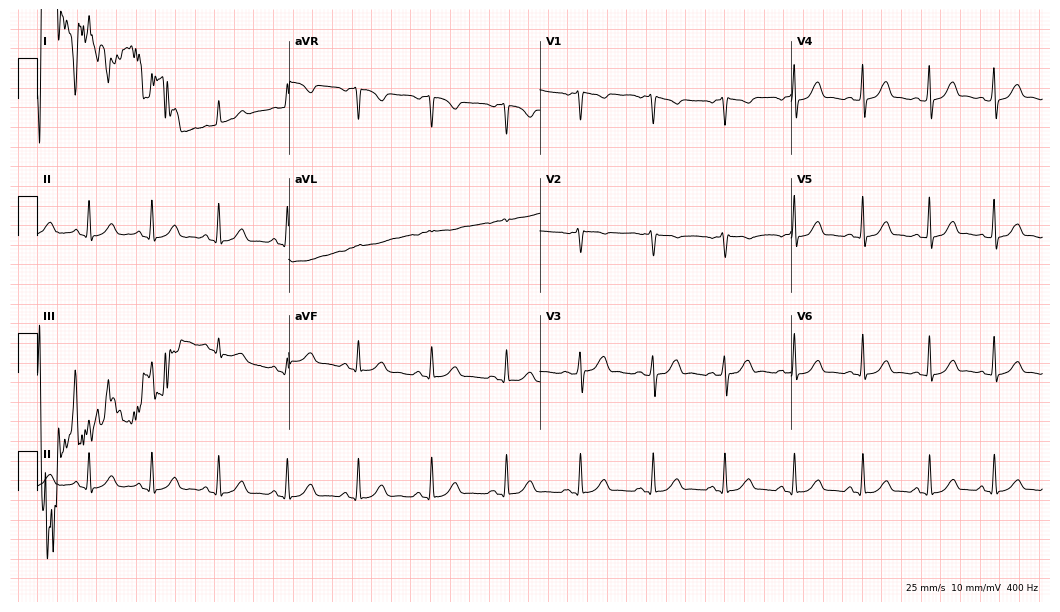
Resting 12-lead electrocardiogram. Patient: a 37-year-old woman. Read as a normal ECG.